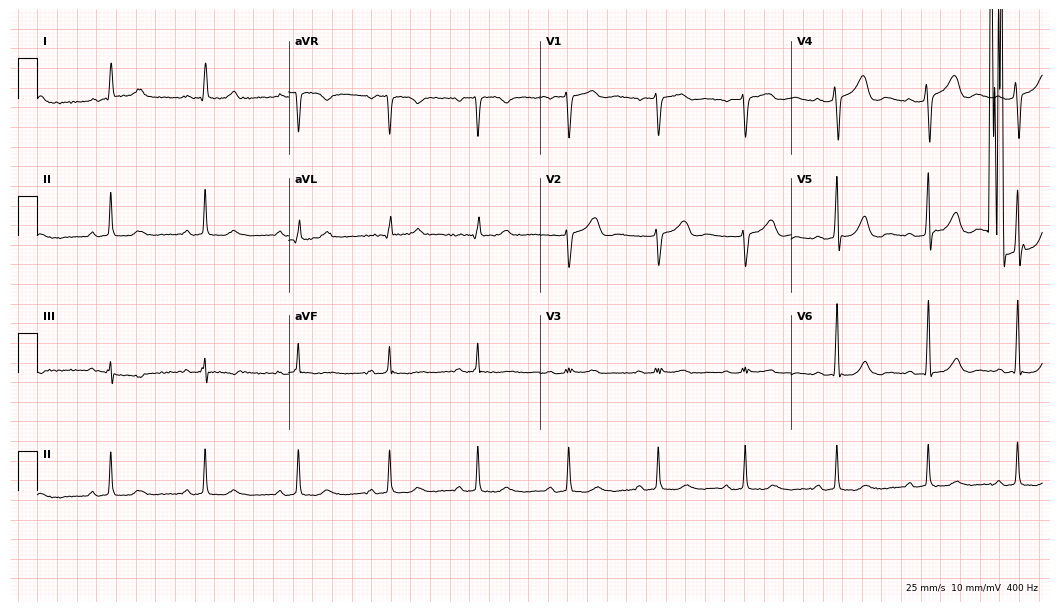
12-lead ECG (10.2-second recording at 400 Hz) from a woman, 78 years old. Labelled as a normal ECG.